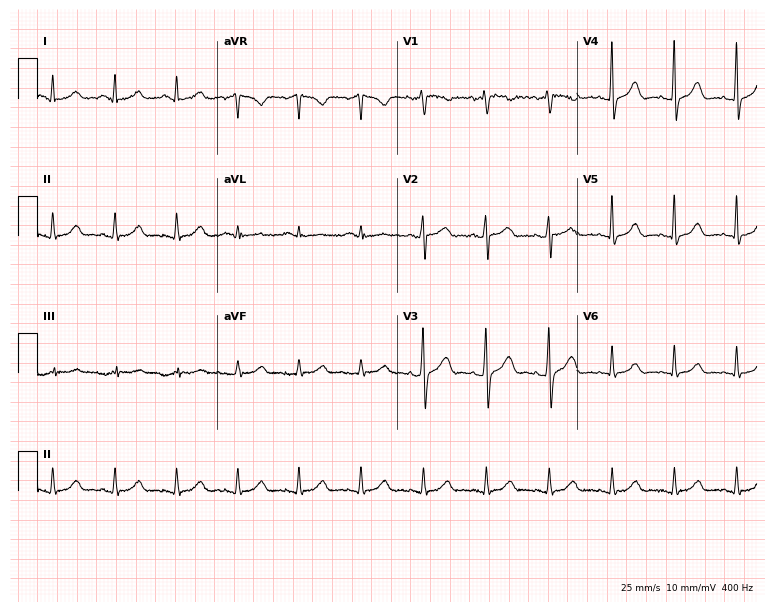
12-lead ECG from a 40-year-old female. Labelled as a normal ECG.